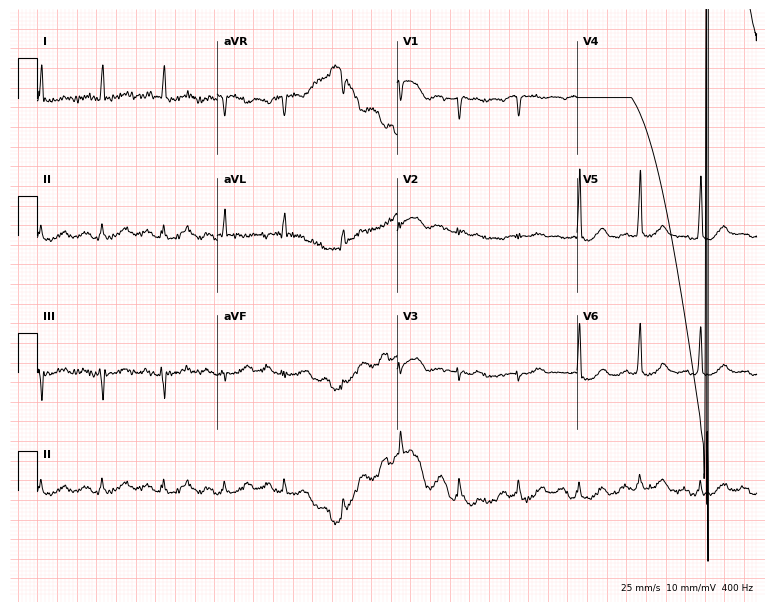
ECG — a 68-year-old man. Labelled as a normal ECG.